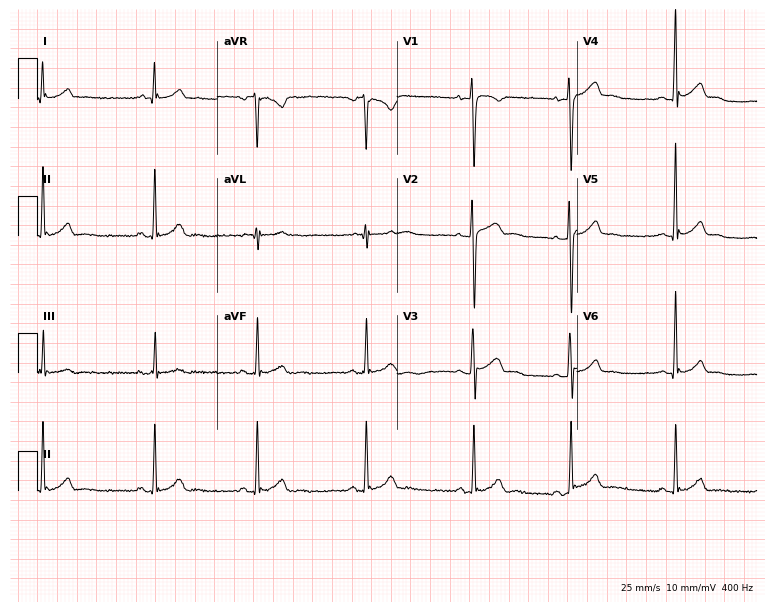
ECG (7.3-second recording at 400 Hz) — a 19-year-old man. Labelled as a normal ECG.